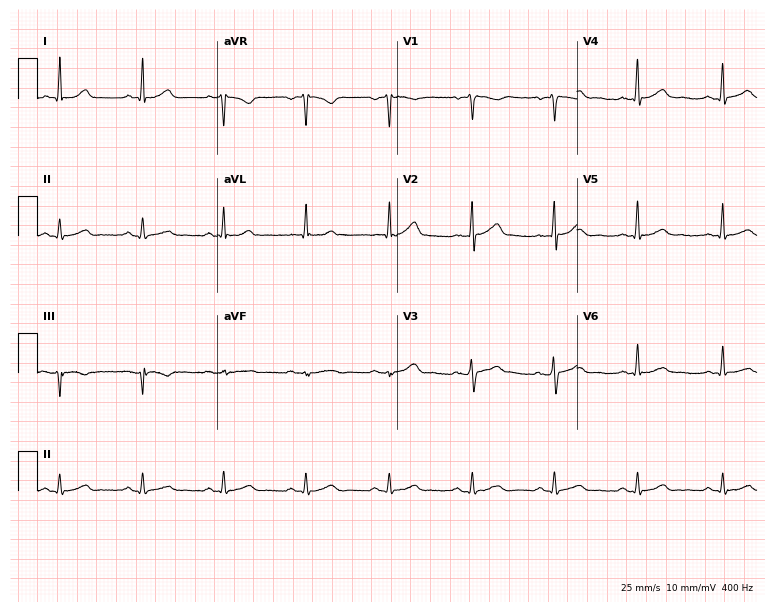
12-lead ECG from a male patient, 49 years old (7.3-second recording at 400 Hz). No first-degree AV block, right bundle branch block, left bundle branch block, sinus bradycardia, atrial fibrillation or sinus tachycardia recorded for this tracing.